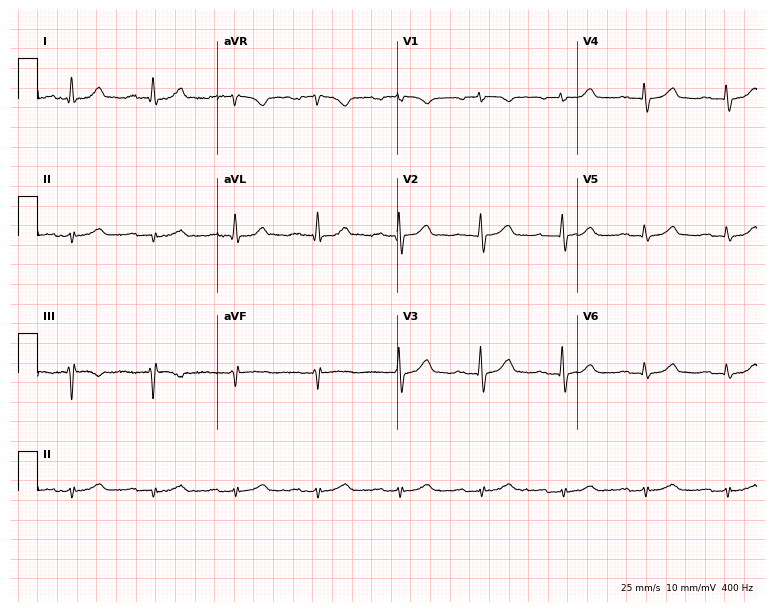
Standard 12-lead ECG recorded from a male, 68 years old (7.3-second recording at 400 Hz). None of these six findings is recorded: first-degree AV block, right bundle branch block, left bundle branch block, sinus bradycardia, atrial fibrillation, sinus tachycardia.